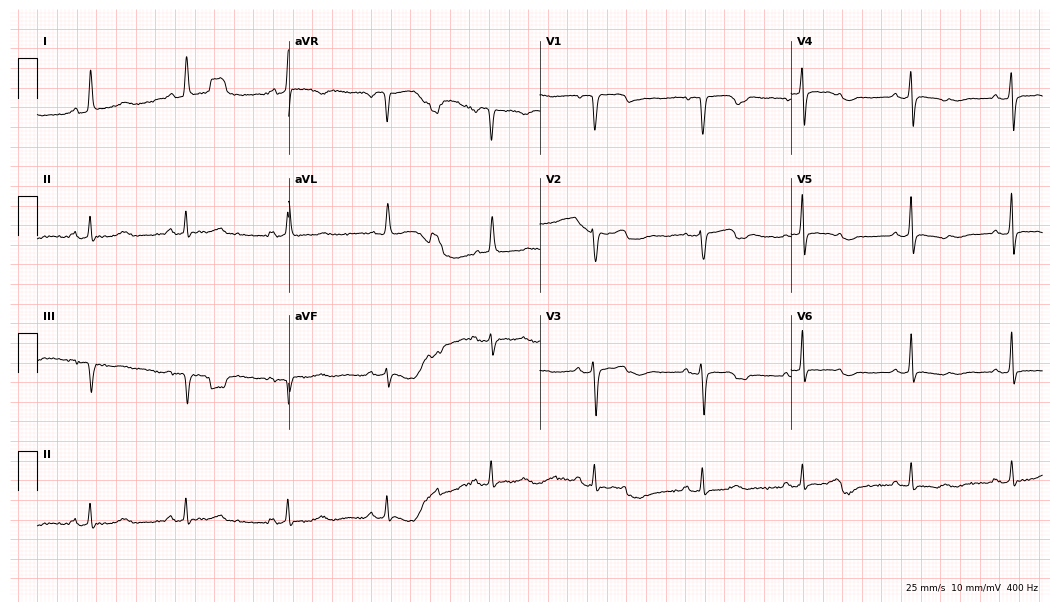
Resting 12-lead electrocardiogram (10.2-second recording at 400 Hz). Patient: a 73-year-old woman. None of these six findings is recorded: first-degree AV block, right bundle branch block (RBBB), left bundle branch block (LBBB), sinus bradycardia, atrial fibrillation (AF), sinus tachycardia.